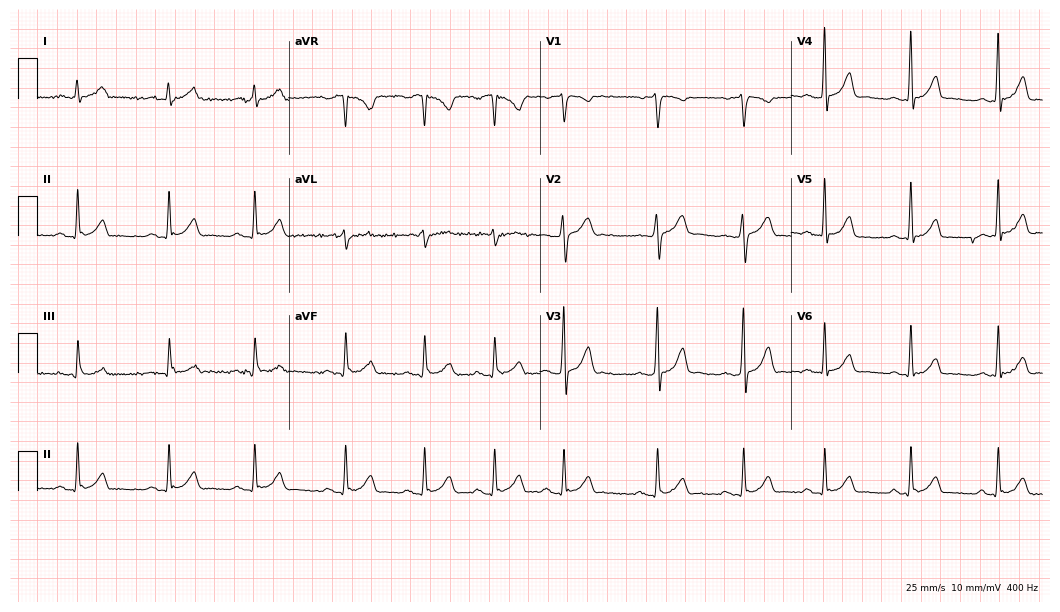
12-lead ECG from a man, 23 years old (10.2-second recording at 400 Hz). Recorded interpretation: within normal limits.